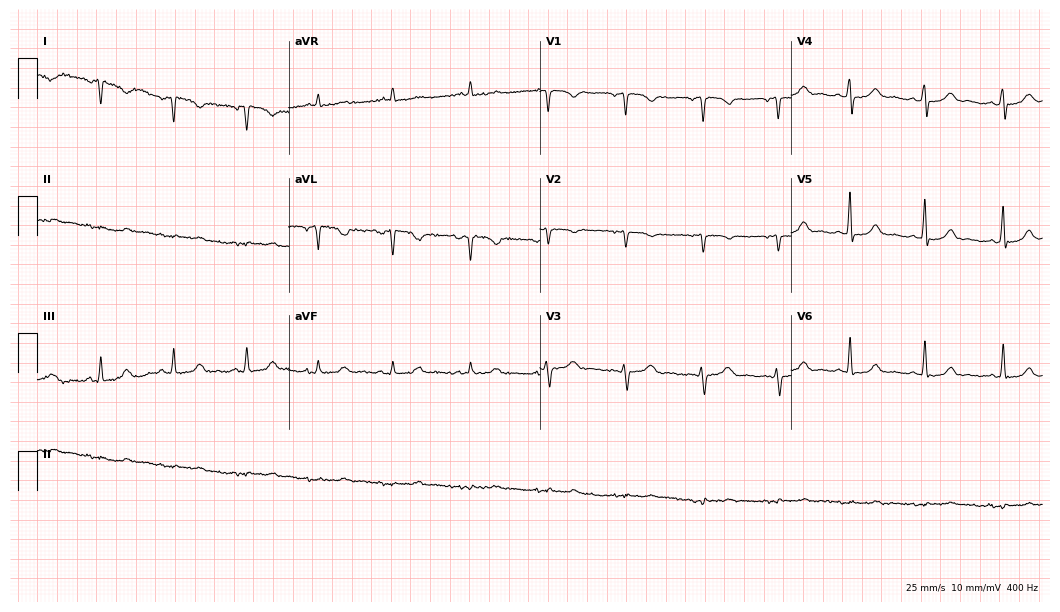
12-lead ECG from a 36-year-old female patient. Screened for six findings — first-degree AV block, right bundle branch block, left bundle branch block, sinus bradycardia, atrial fibrillation, sinus tachycardia — none is recorded.